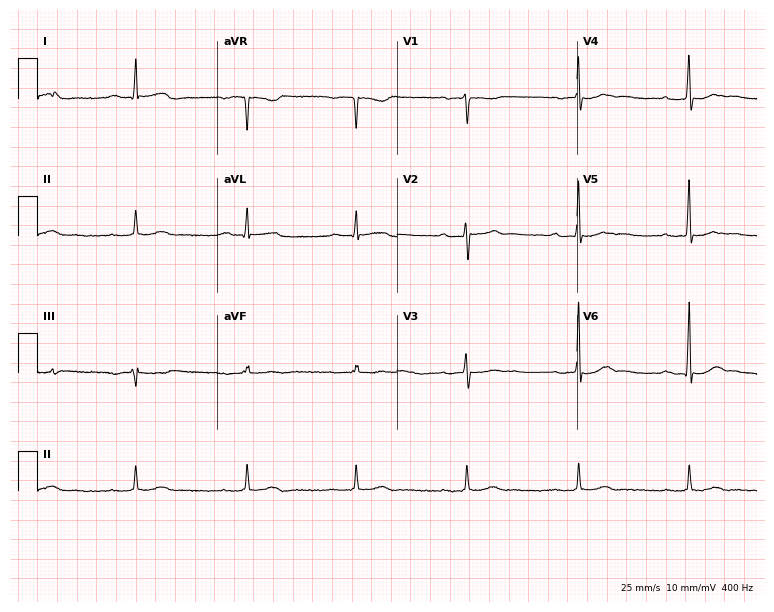
Resting 12-lead electrocardiogram. Patient: a 66-year-old male. The tracing shows first-degree AV block.